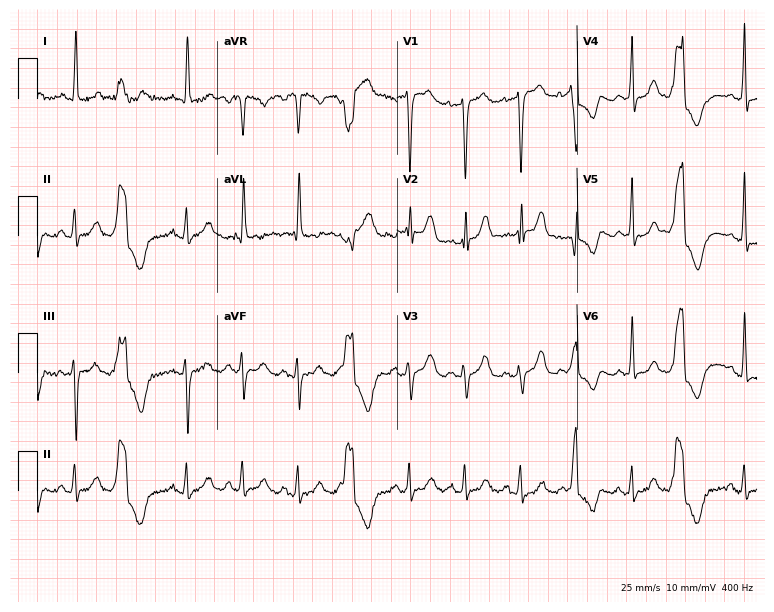
Standard 12-lead ECG recorded from a female patient, 83 years old (7.3-second recording at 400 Hz). The tracing shows sinus tachycardia (a sinus rate of 100 beats per minute or more).